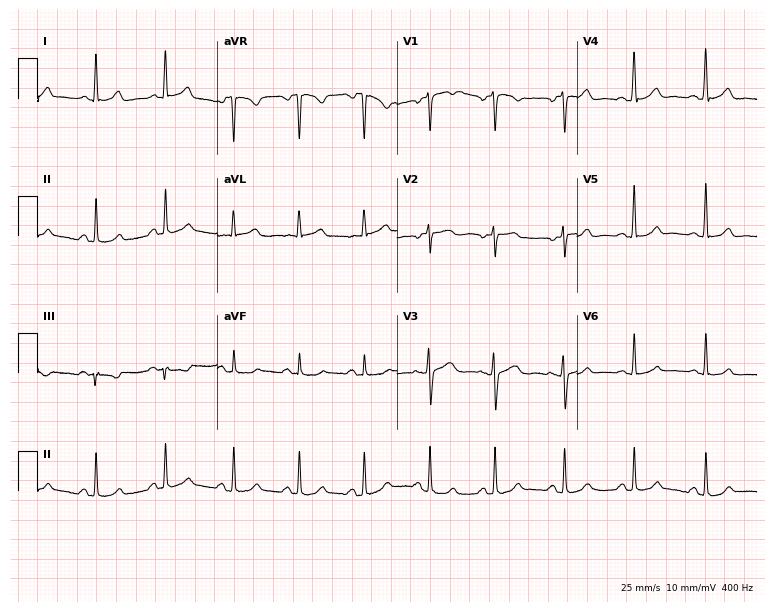
ECG (7.3-second recording at 400 Hz) — a woman, 51 years old. Labelled as a normal ECG.